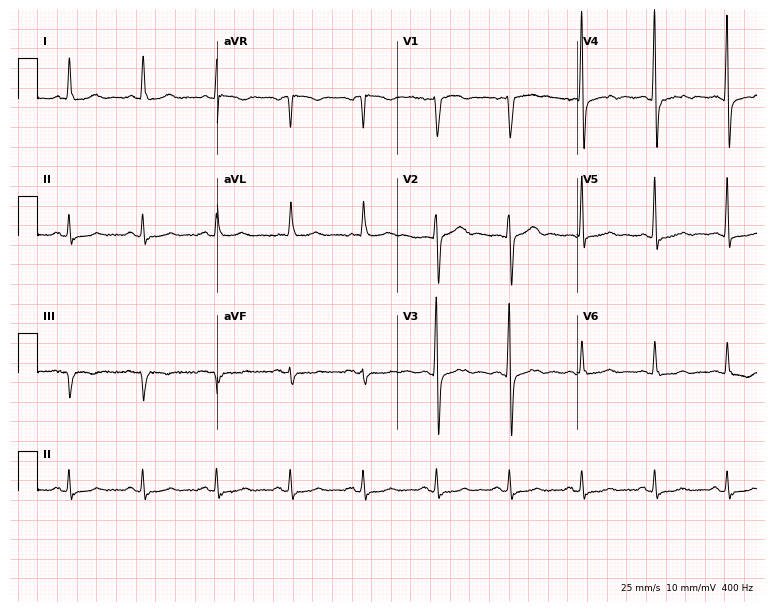
Resting 12-lead electrocardiogram. Patient: a 77-year-old male. Read as a normal ECG.